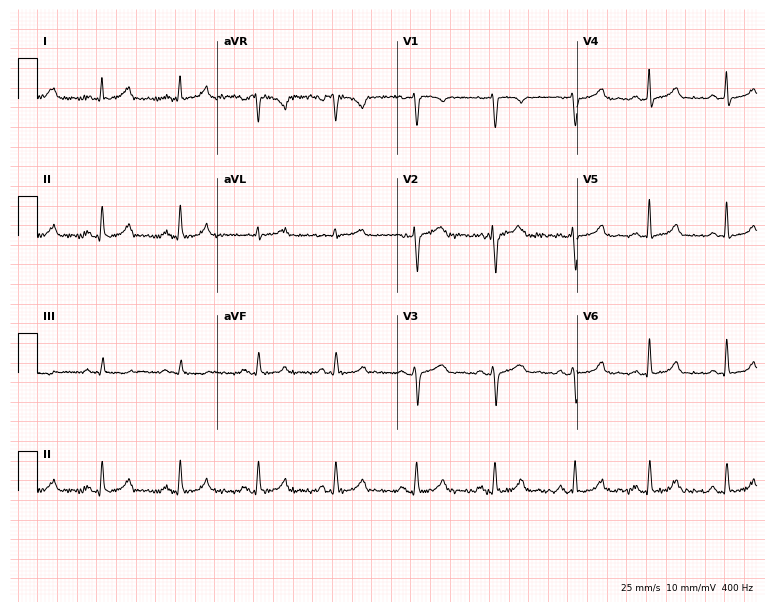
ECG — a 35-year-old female patient. Labelled as a normal ECG.